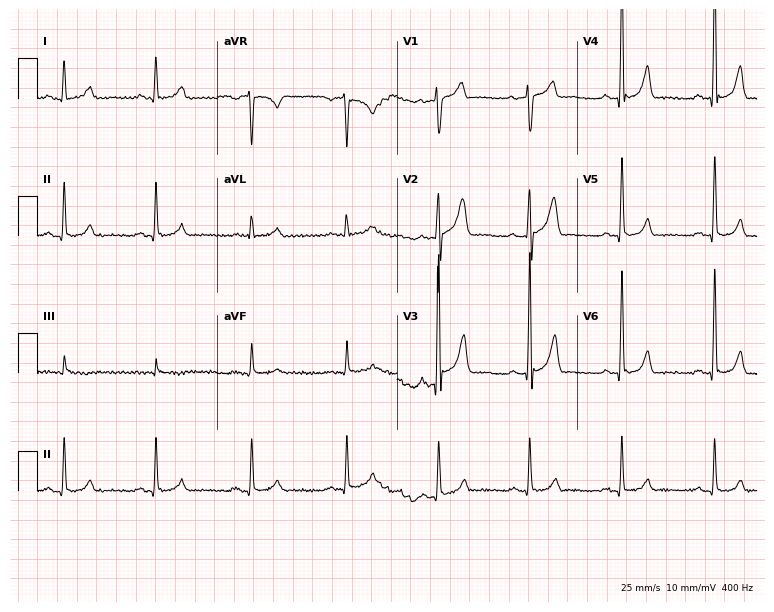
12-lead ECG (7.3-second recording at 400 Hz) from a male, 54 years old. Screened for six findings — first-degree AV block, right bundle branch block, left bundle branch block, sinus bradycardia, atrial fibrillation, sinus tachycardia — none is recorded.